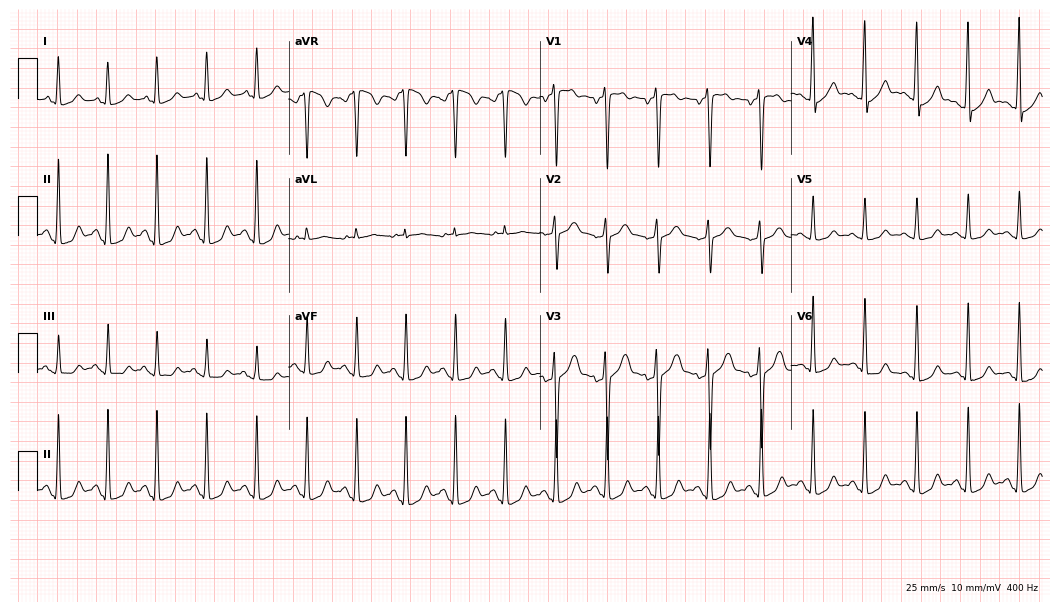
12-lead ECG from a 43-year-old female patient (10.2-second recording at 400 Hz). Shows sinus tachycardia (a sinus rate of 100 beats per minute or more).